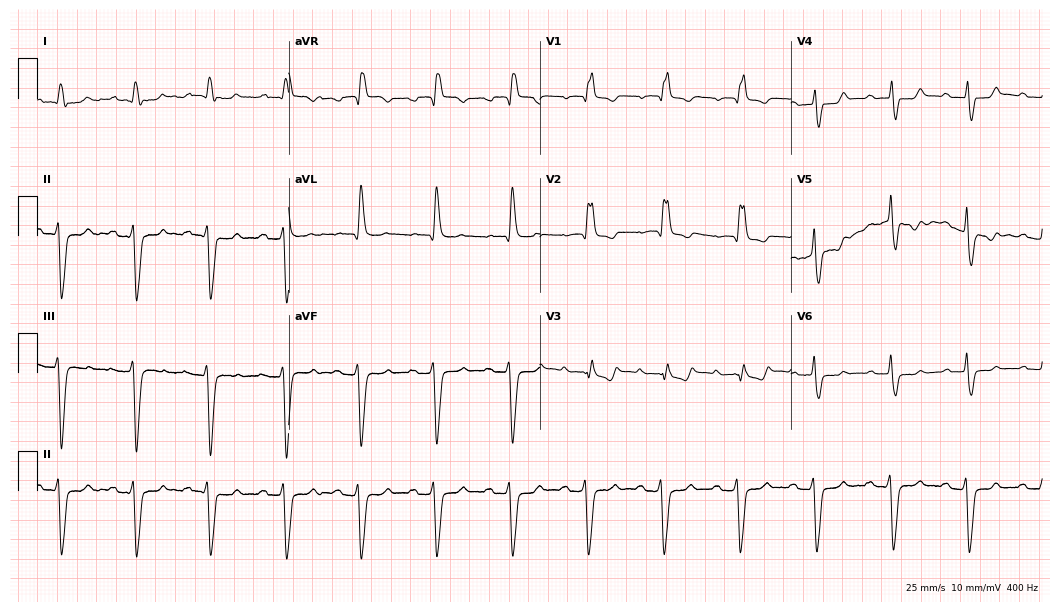
ECG — an 85-year-old male patient. Findings include first-degree AV block, right bundle branch block.